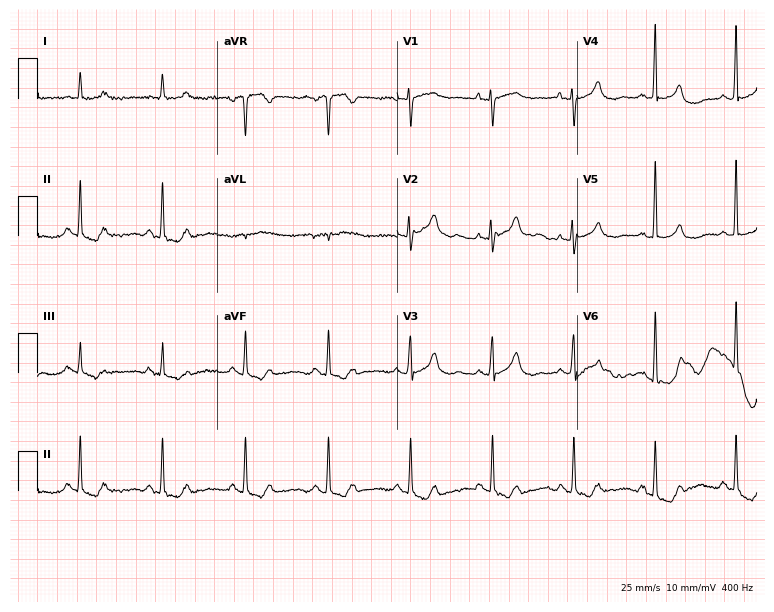
Resting 12-lead electrocardiogram (7.3-second recording at 400 Hz). Patient: a 68-year-old female. None of these six findings is recorded: first-degree AV block, right bundle branch block, left bundle branch block, sinus bradycardia, atrial fibrillation, sinus tachycardia.